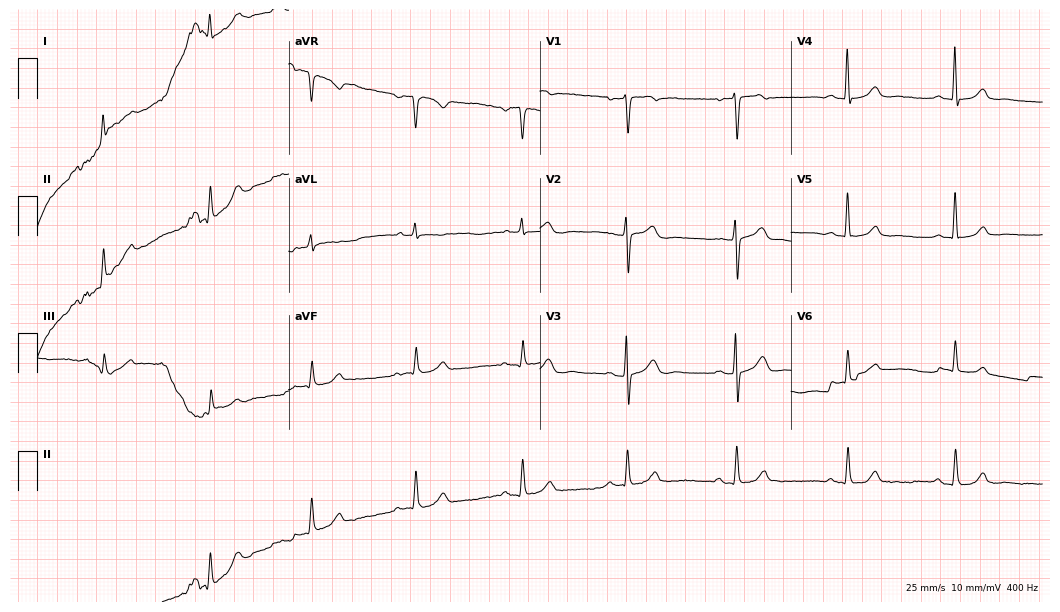
ECG — a female patient, 78 years old. Labelled as a normal ECG.